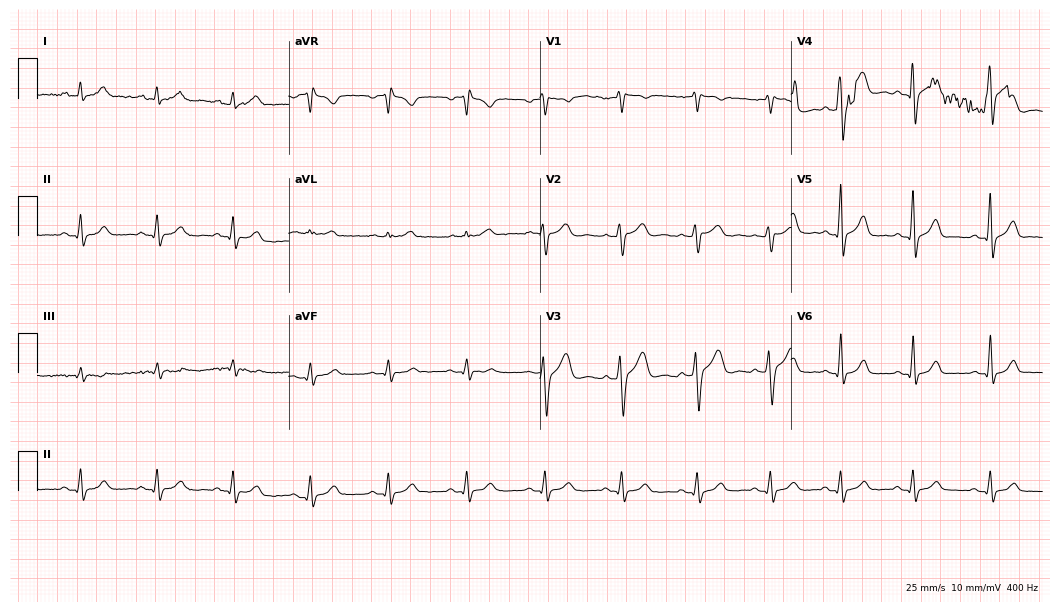
ECG — a 33-year-old woman. Screened for six findings — first-degree AV block, right bundle branch block (RBBB), left bundle branch block (LBBB), sinus bradycardia, atrial fibrillation (AF), sinus tachycardia — none is recorded.